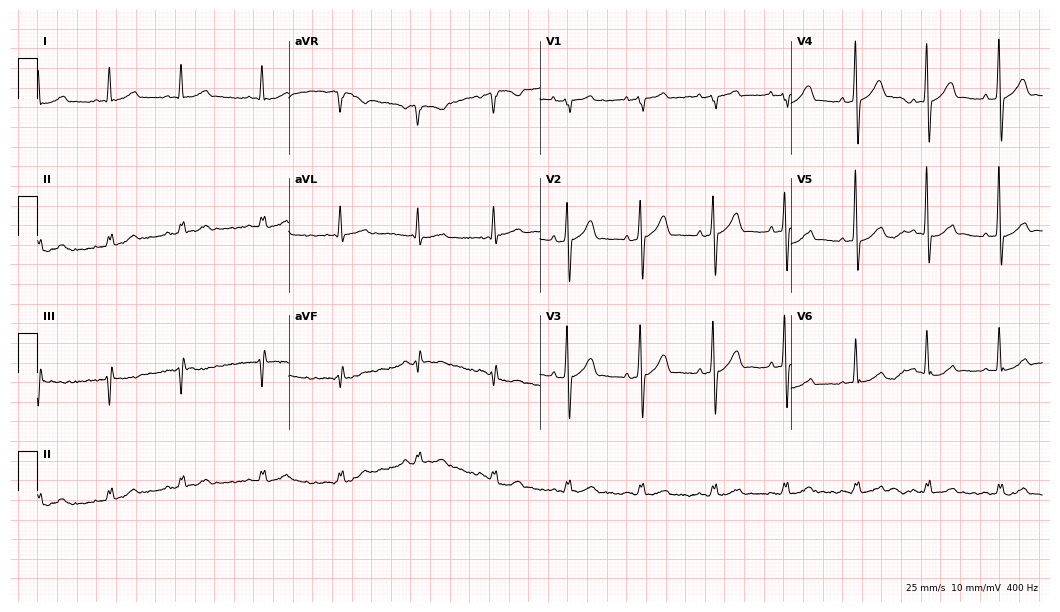
Electrocardiogram (10.2-second recording at 400 Hz), an 84-year-old male patient. Overall reading on record: normal ECG.